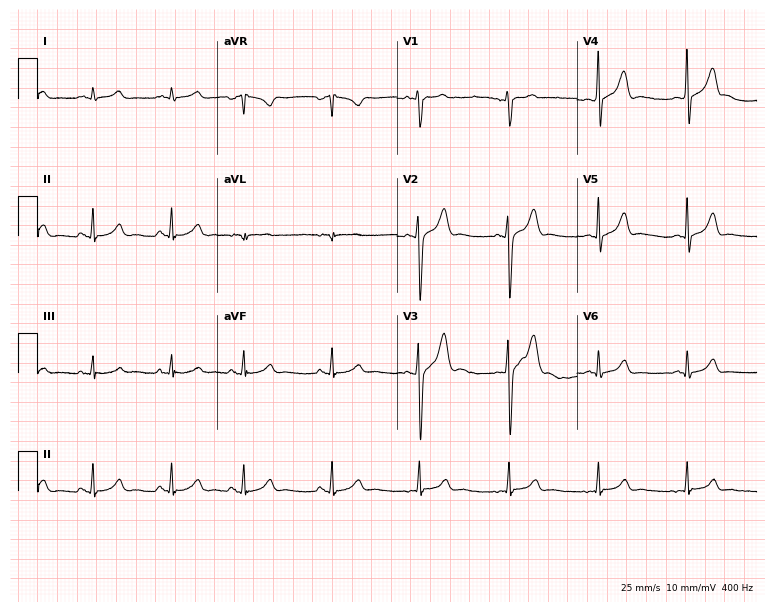
Electrocardiogram, a male, 32 years old. Overall reading on record: normal ECG.